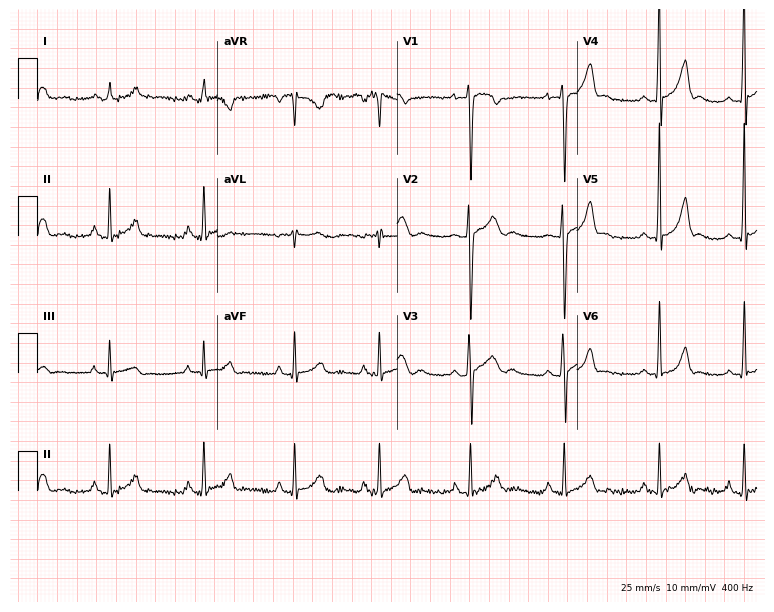
ECG — a 19-year-old male. Screened for six findings — first-degree AV block, right bundle branch block (RBBB), left bundle branch block (LBBB), sinus bradycardia, atrial fibrillation (AF), sinus tachycardia — none is recorded.